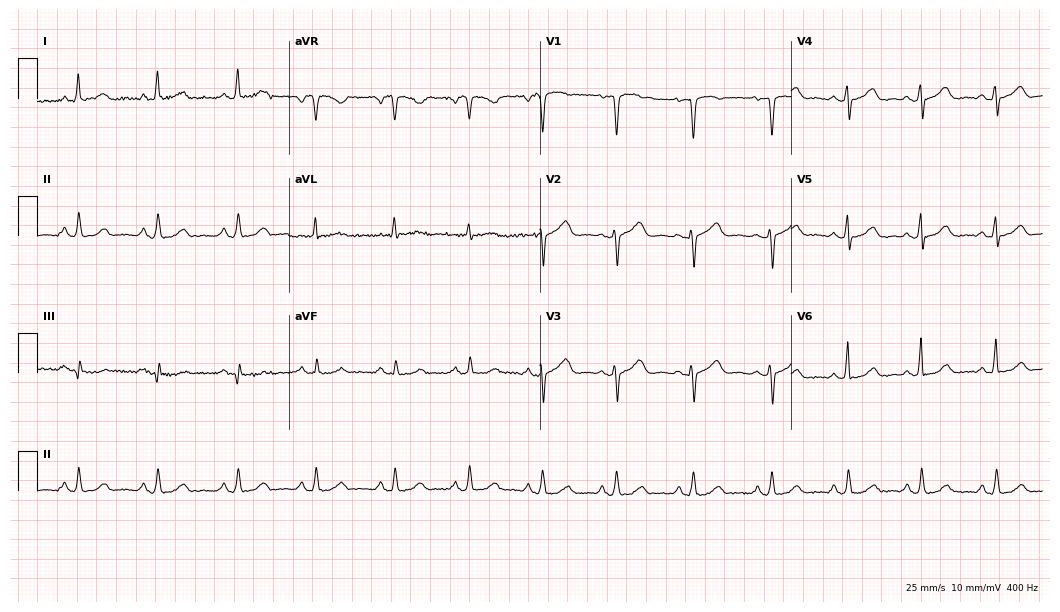
Resting 12-lead electrocardiogram. Patient: a 50-year-old male. Read as a normal ECG.